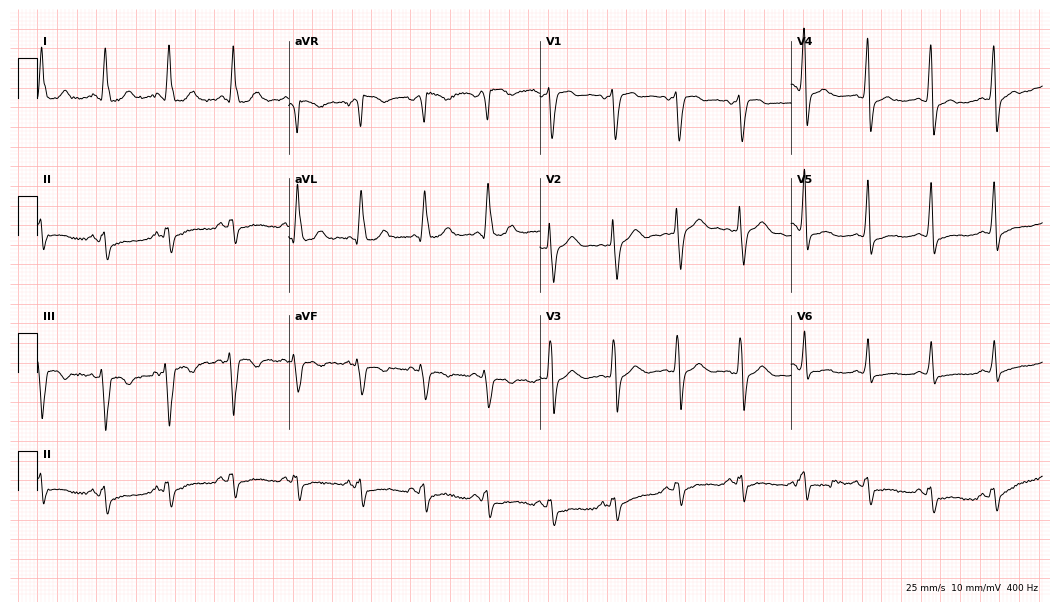
Electrocardiogram (10.2-second recording at 400 Hz), a 71-year-old female patient. Of the six screened findings (first-degree AV block, right bundle branch block (RBBB), left bundle branch block (LBBB), sinus bradycardia, atrial fibrillation (AF), sinus tachycardia), none is recorded.